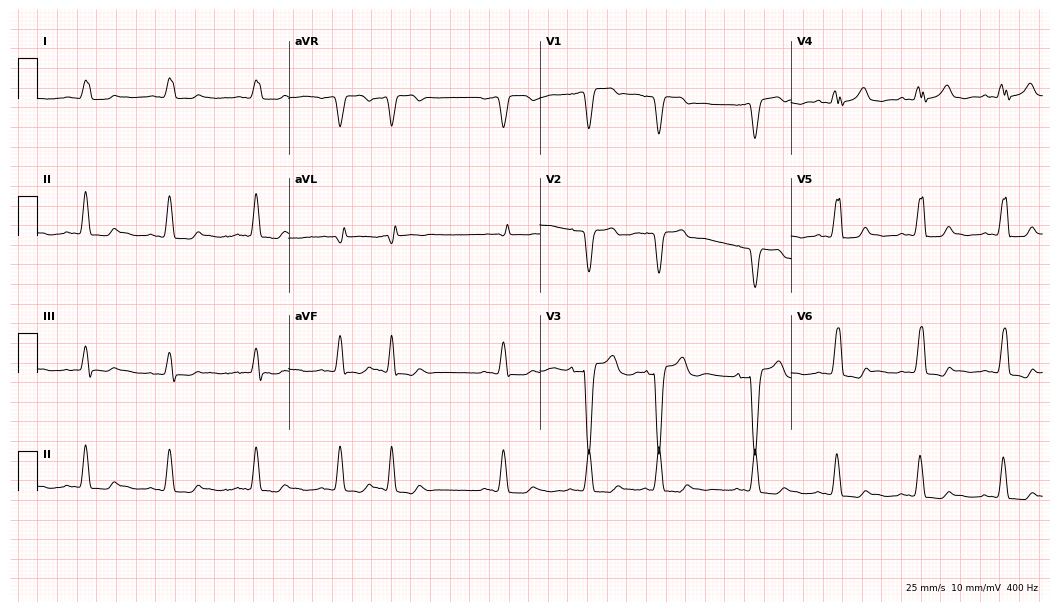
ECG — an 81-year-old female patient. Screened for six findings — first-degree AV block, right bundle branch block (RBBB), left bundle branch block (LBBB), sinus bradycardia, atrial fibrillation (AF), sinus tachycardia — none is recorded.